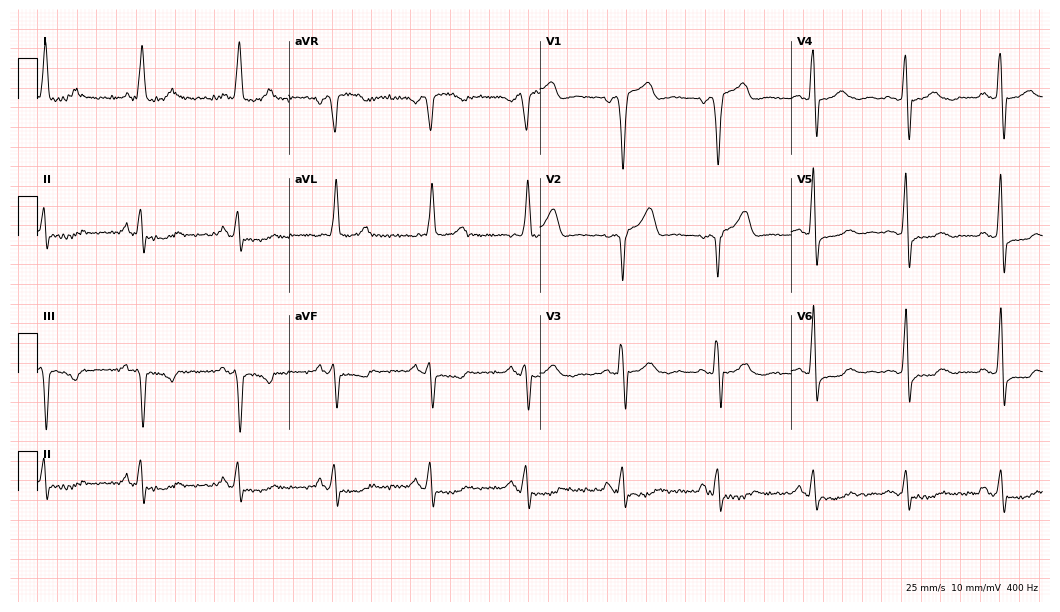
Resting 12-lead electrocardiogram. Patient: an 80-year-old male. None of these six findings is recorded: first-degree AV block, right bundle branch block, left bundle branch block, sinus bradycardia, atrial fibrillation, sinus tachycardia. Other findings, if any, are not listed.